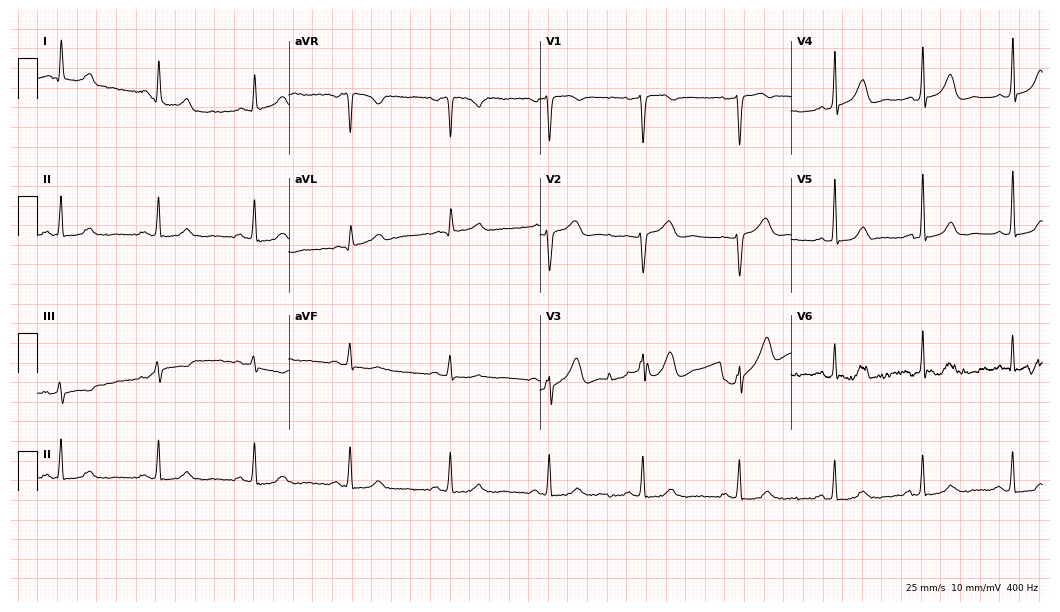
12-lead ECG from a 44-year-old female patient (10.2-second recording at 400 Hz). Recorded interpretation: within normal limits.